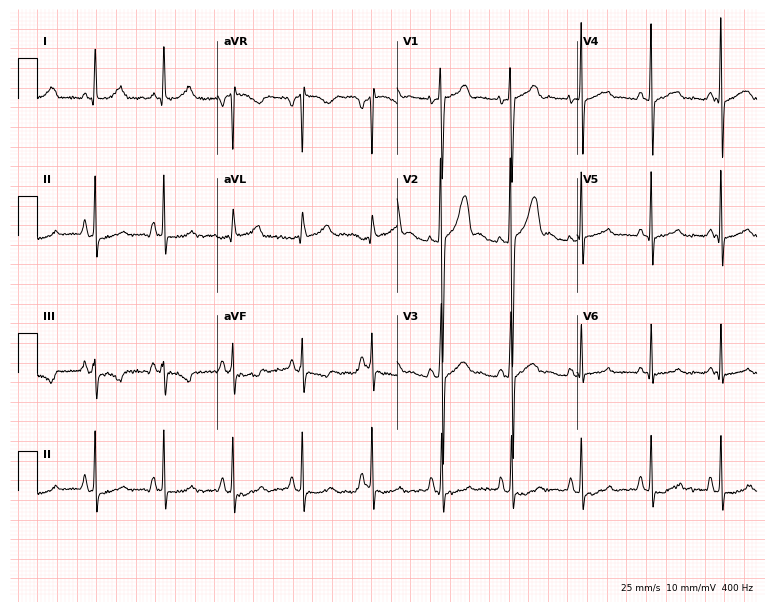
12-lead ECG from a male patient, 20 years old (7.3-second recording at 400 Hz). No first-degree AV block, right bundle branch block, left bundle branch block, sinus bradycardia, atrial fibrillation or sinus tachycardia recorded for this tracing. Other findings, if any, are not listed.